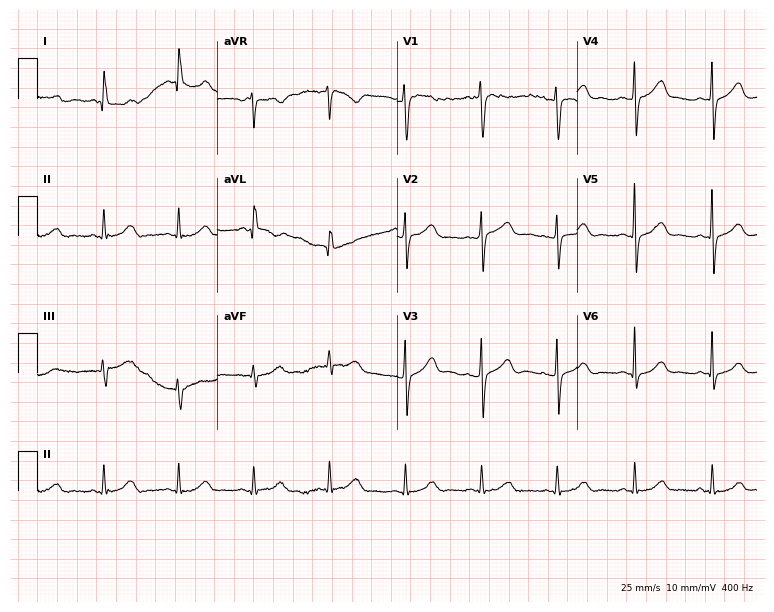
Resting 12-lead electrocardiogram. Patient: a female, 53 years old. None of these six findings is recorded: first-degree AV block, right bundle branch block, left bundle branch block, sinus bradycardia, atrial fibrillation, sinus tachycardia.